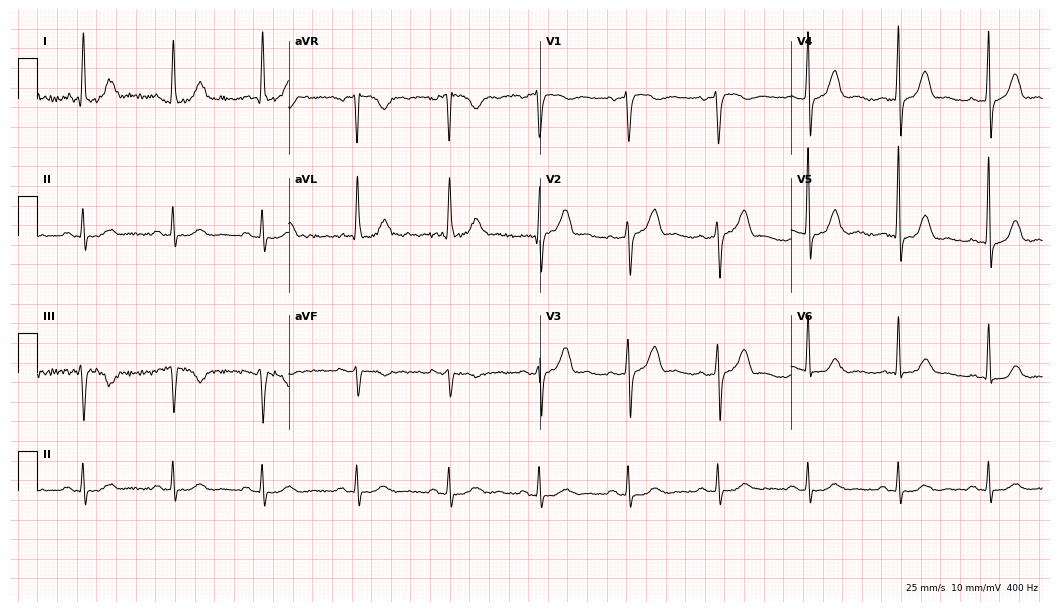
ECG — a 78-year-old male. Screened for six findings — first-degree AV block, right bundle branch block, left bundle branch block, sinus bradycardia, atrial fibrillation, sinus tachycardia — none is recorded. Findings outside these six are not listed.